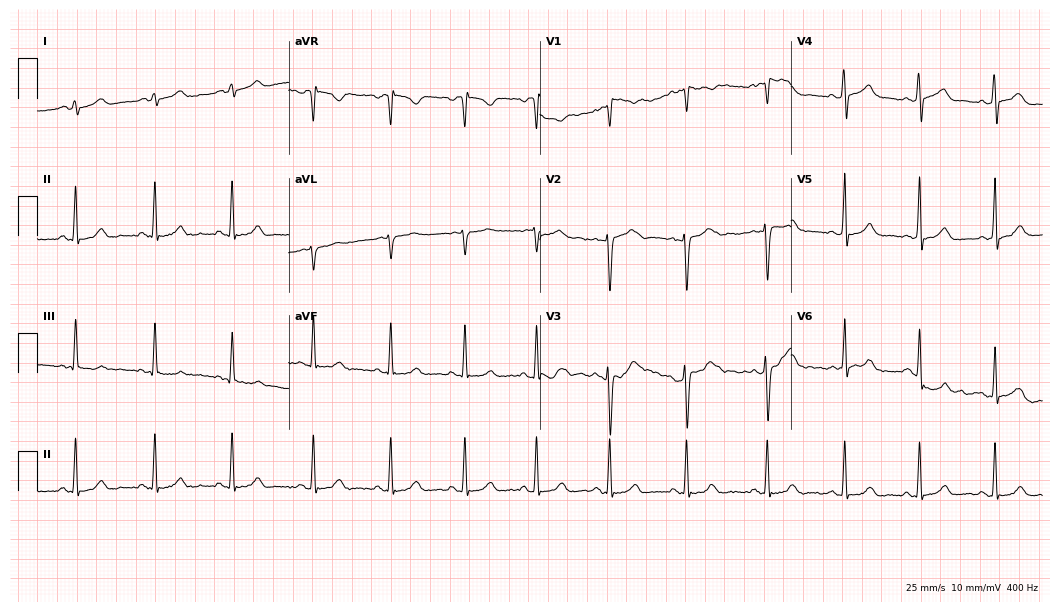
12-lead ECG from a female, 23 years old (10.2-second recording at 400 Hz). Recorded interpretation: within normal limits.